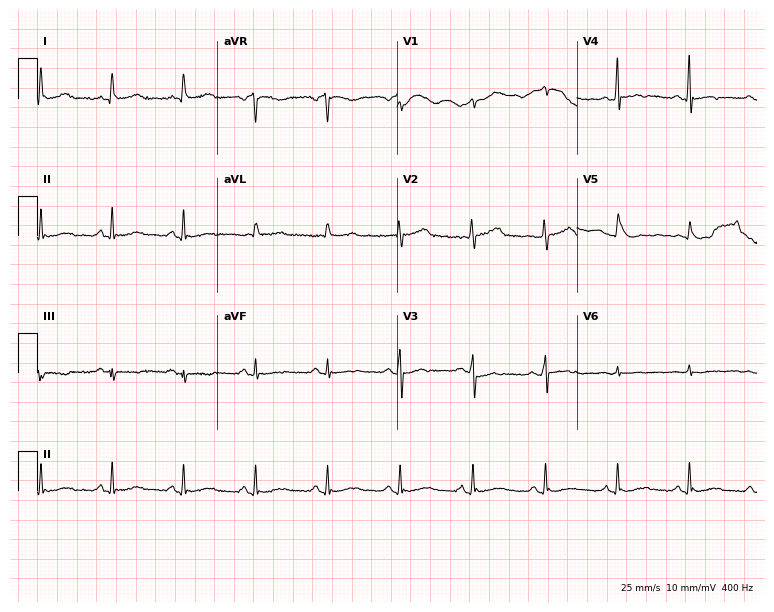
12-lead ECG (7.3-second recording at 400 Hz) from a female patient, 58 years old. Screened for six findings — first-degree AV block, right bundle branch block, left bundle branch block, sinus bradycardia, atrial fibrillation, sinus tachycardia — none is recorded. Findings outside these six are not listed.